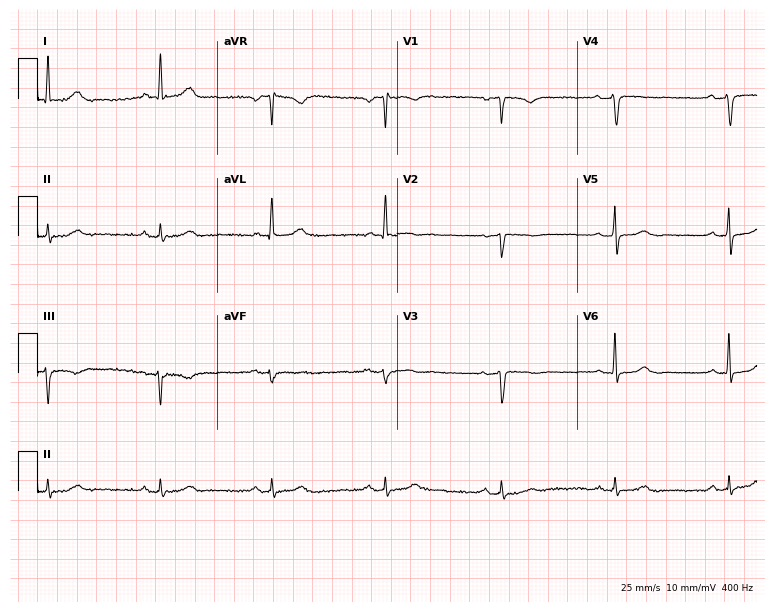
ECG (7.3-second recording at 400 Hz) — a female patient, 65 years old. Screened for six findings — first-degree AV block, right bundle branch block (RBBB), left bundle branch block (LBBB), sinus bradycardia, atrial fibrillation (AF), sinus tachycardia — none is recorded. Findings outside these six are not listed.